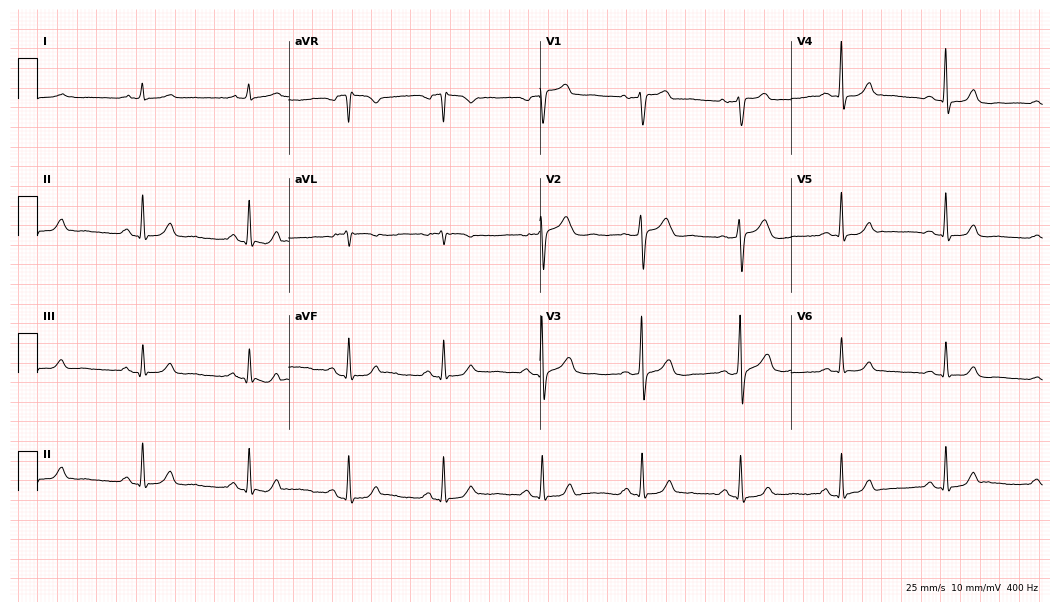
12-lead ECG from a 38-year-old male. Labelled as a normal ECG.